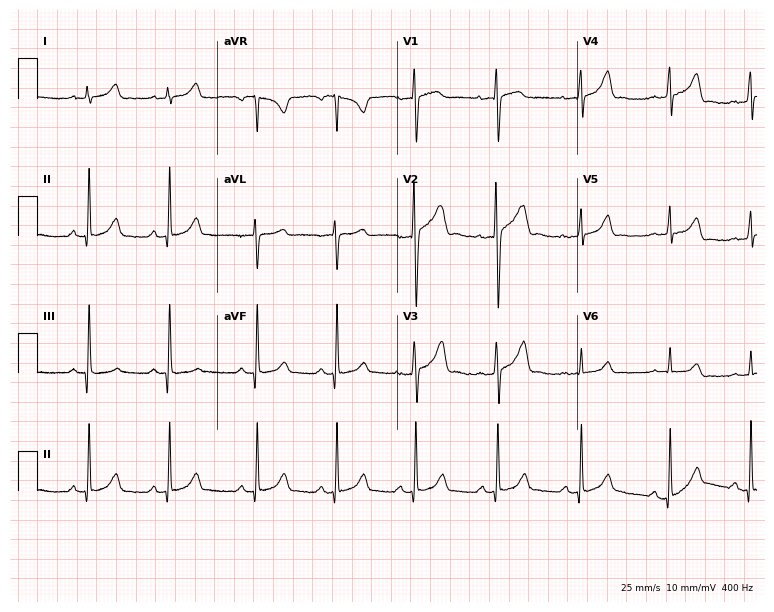
Resting 12-lead electrocardiogram. Patient: a 32-year-old woman. None of these six findings is recorded: first-degree AV block, right bundle branch block, left bundle branch block, sinus bradycardia, atrial fibrillation, sinus tachycardia. Findings outside these six are not listed.